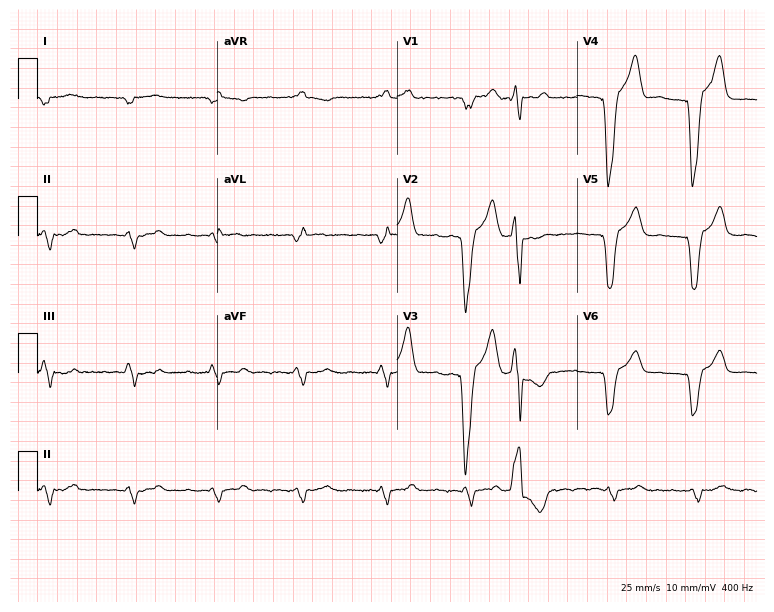
12-lead ECG from a male patient, 82 years old. Shows left bundle branch block, atrial fibrillation.